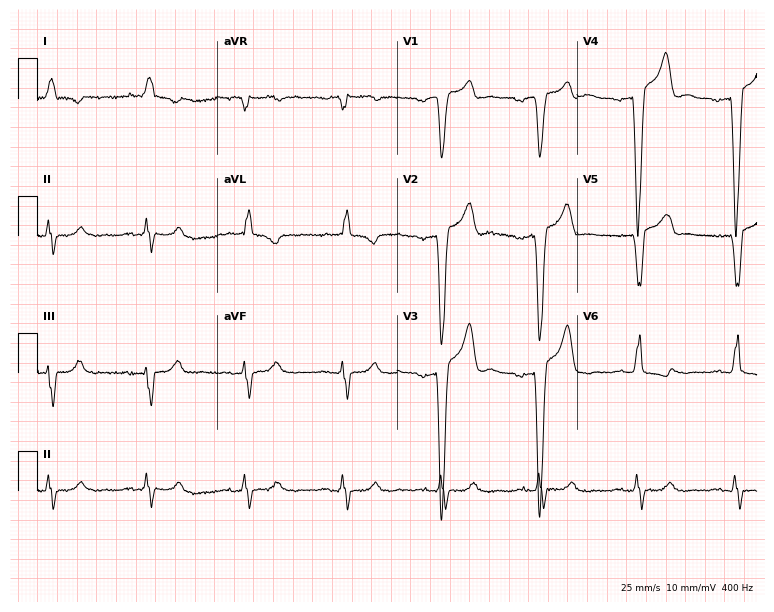
12-lead ECG from a male patient, 82 years old (7.3-second recording at 400 Hz). No first-degree AV block, right bundle branch block, left bundle branch block, sinus bradycardia, atrial fibrillation or sinus tachycardia recorded for this tracing.